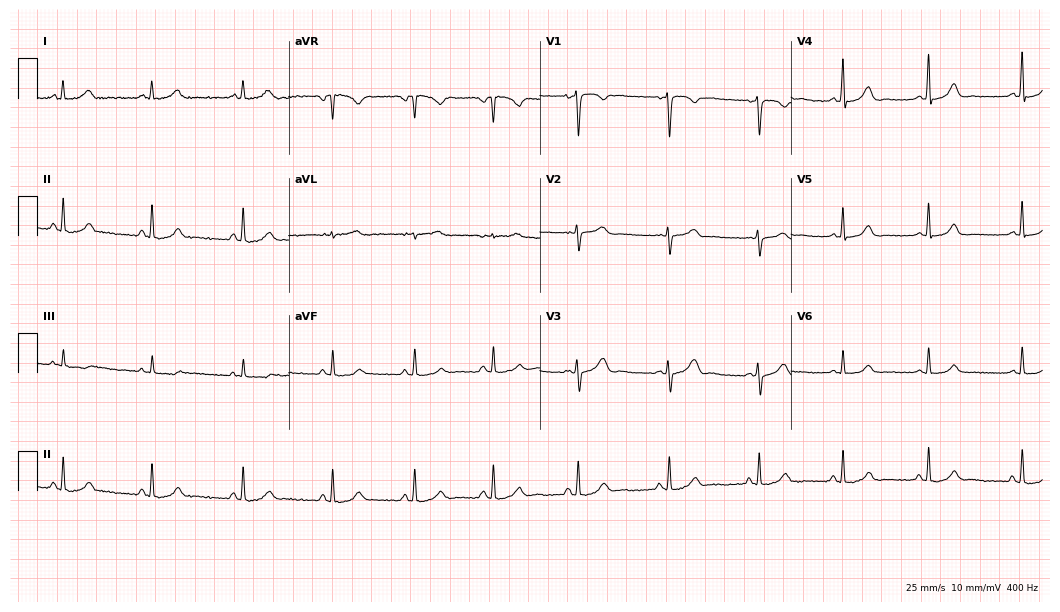
Resting 12-lead electrocardiogram (10.2-second recording at 400 Hz). Patient: a 24-year-old female. None of these six findings is recorded: first-degree AV block, right bundle branch block, left bundle branch block, sinus bradycardia, atrial fibrillation, sinus tachycardia.